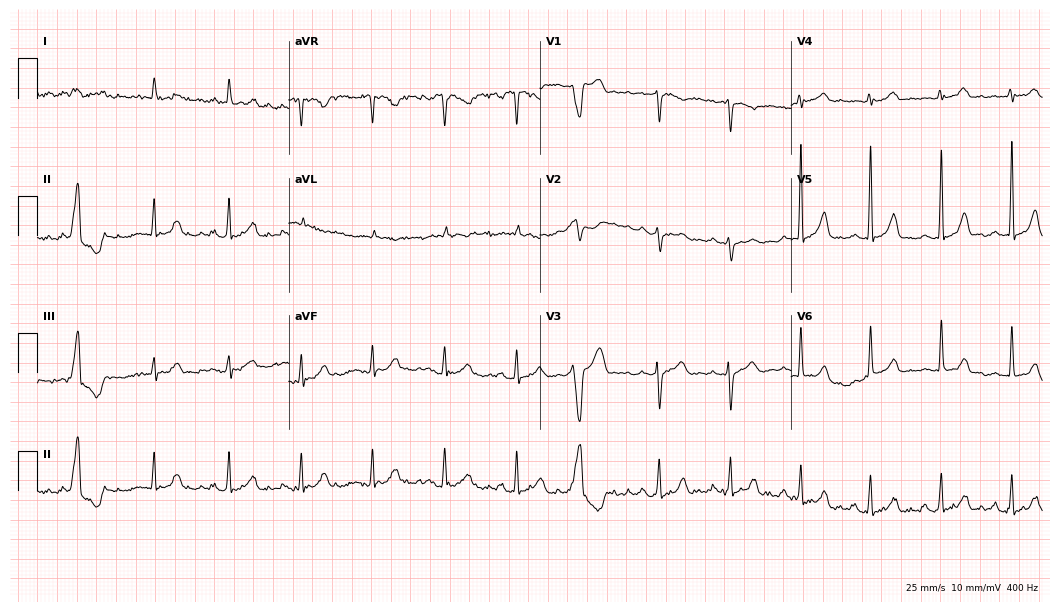
12-lead ECG from a female, 83 years old. Screened for six findings — first-degree AV block, right bundle branch block, left bundle branch block, sinus bradycardia, atrial fibrillation, sinus tachycardia — none is recorded. Other findings, if any, are not listed.